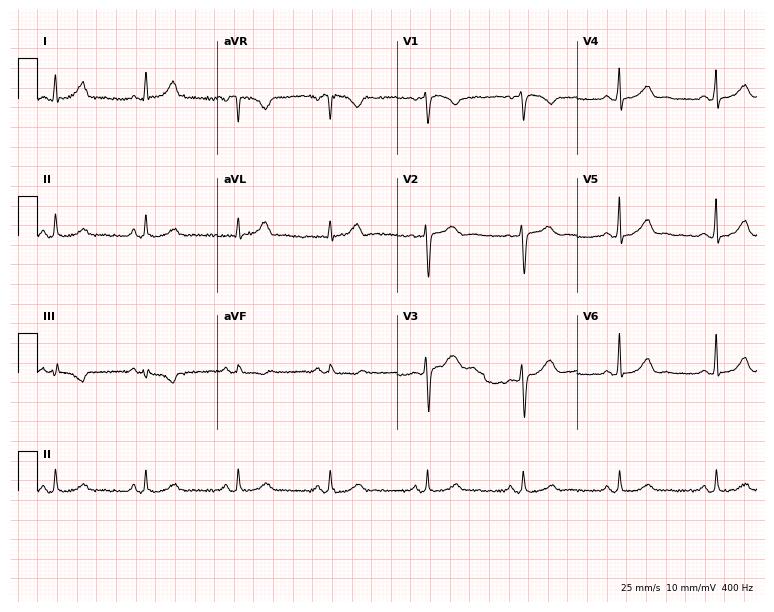
12-lead ECG from a 48-year-old female. Recorded interpretation: within normal limits.